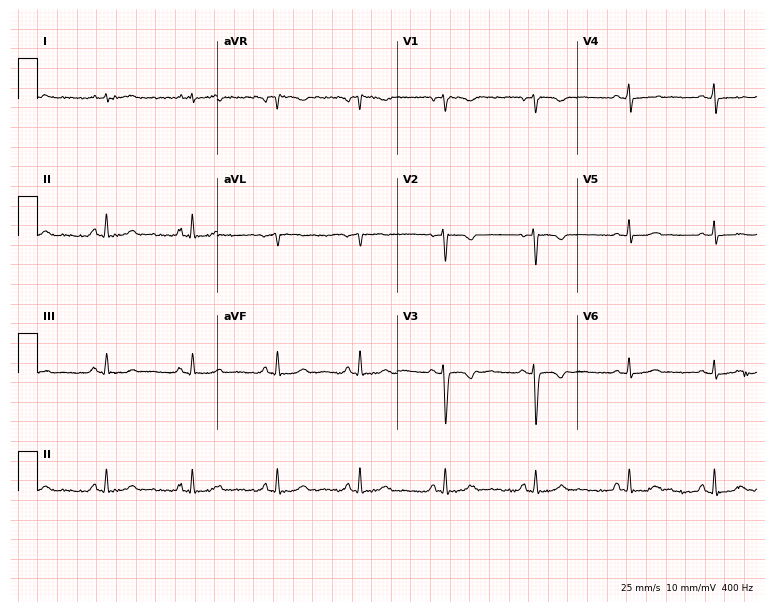
Electrocardiogram (7.3-second recording at 400 Hz), a 22-year-old woman. Of the six screened findings (first-degree AV block, right bundle branch block (RBBB), left bundle branch block (LBBB), sinus bradycardia, atrial fibrillation (AF), sinus tachycardia), none is recorded.